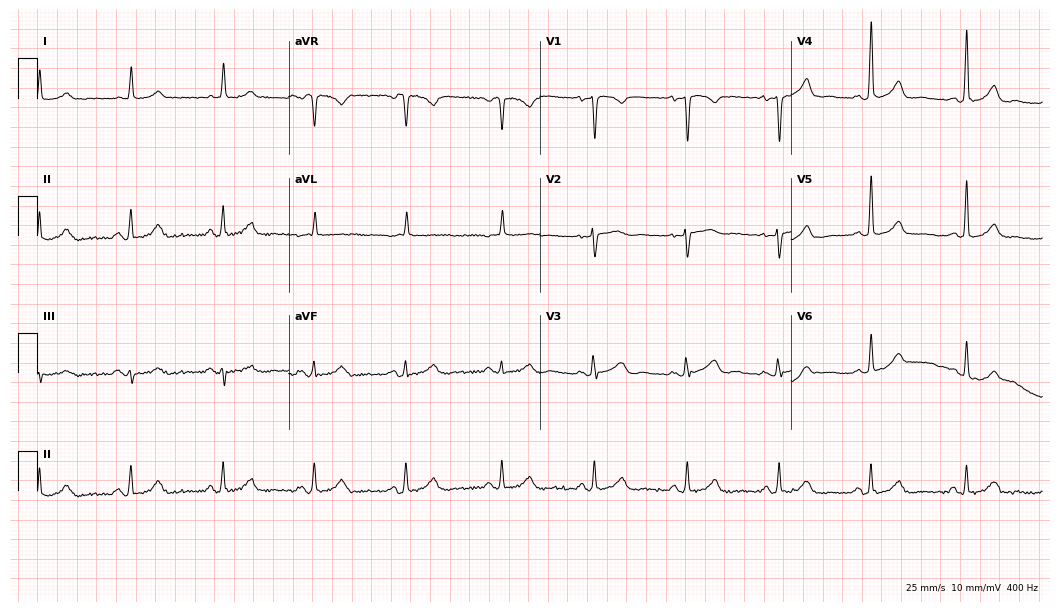
Standard 12-lead ECG recorded from a female patient, 67 years old. Read as a normal ECG.